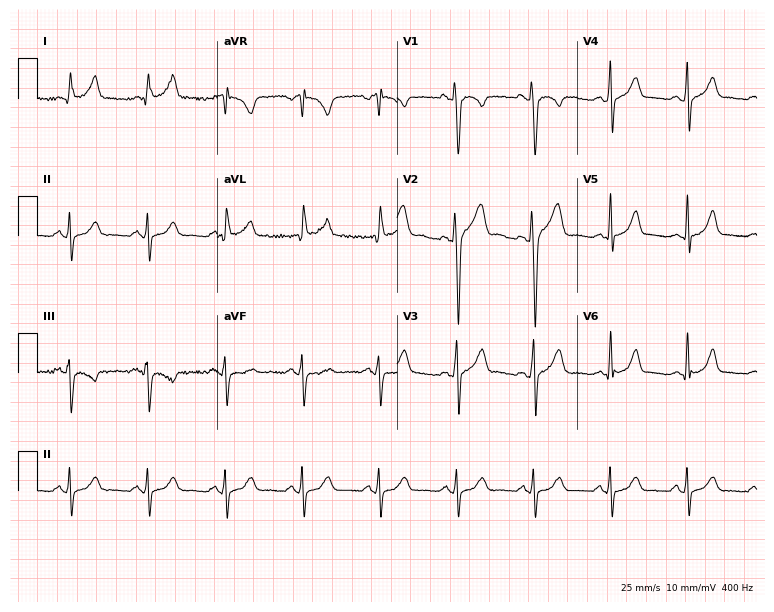
12-lead ECG from a 34-year-old woman. No first-degree AV block, right bundle branch block, left bundle branch block, sinus bradycardia, atrial fibrillation or sinus tachycardia recorded for this tracing.